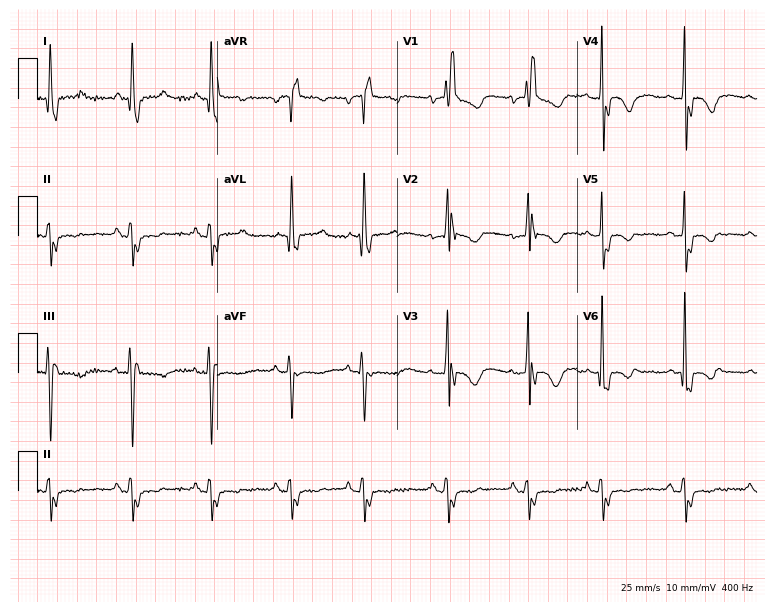
Electrocardiogram, a 74-year-old woman. Interpretation includes right bundle branch block.